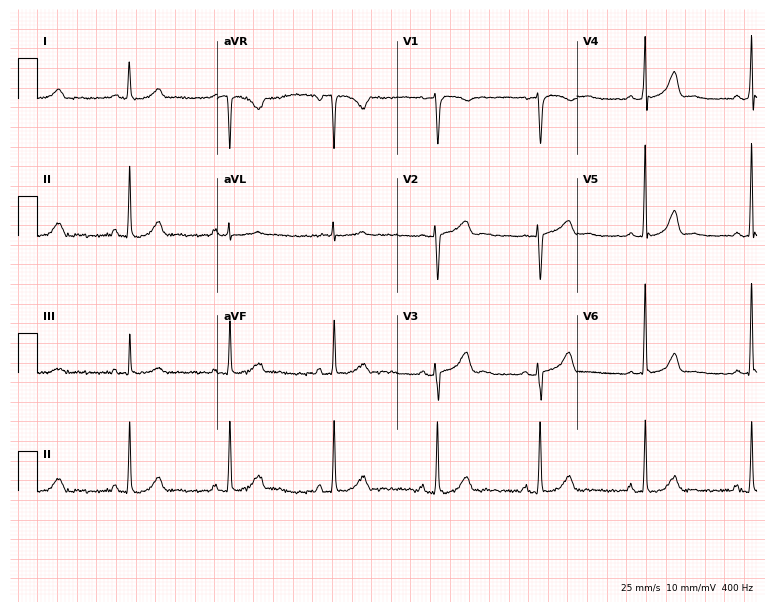
12-lead ECG from a 57-year-old woman (7.3-second recording at 400 Hz). Recorded interpretation: within normal limits.